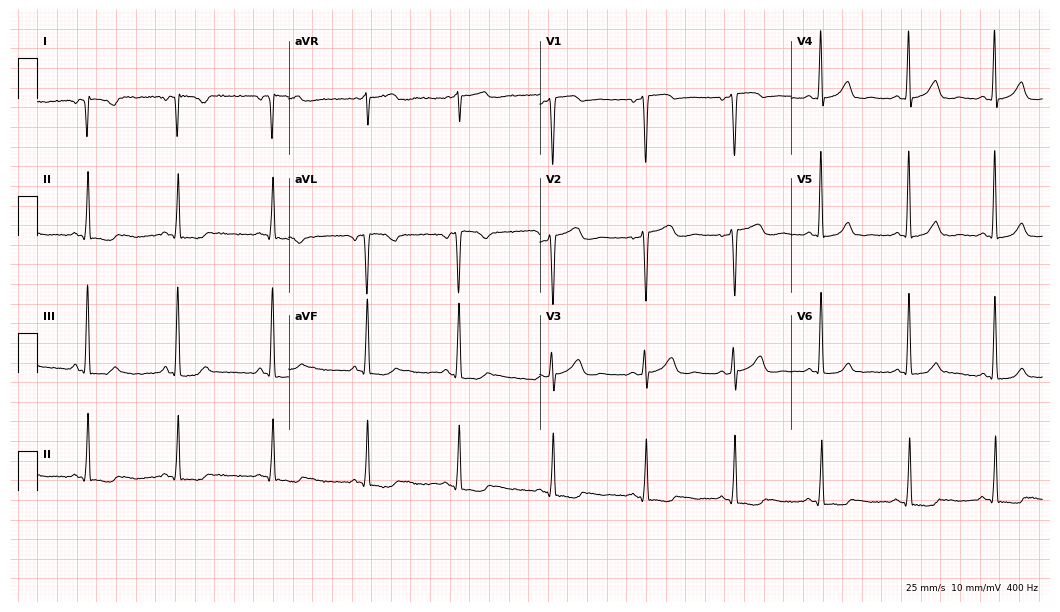
Resting 12-lead electrocardiogram (10.2-second recording at 400 Hz). Patient: a 41-year-old female. None of these six findings is recorded: first-degree AV block, right bundle branch block (RBBB), left bundle branch block (LBBB), sinus bradycardia, atrial fibrillation (AF), sinus tachycardia.